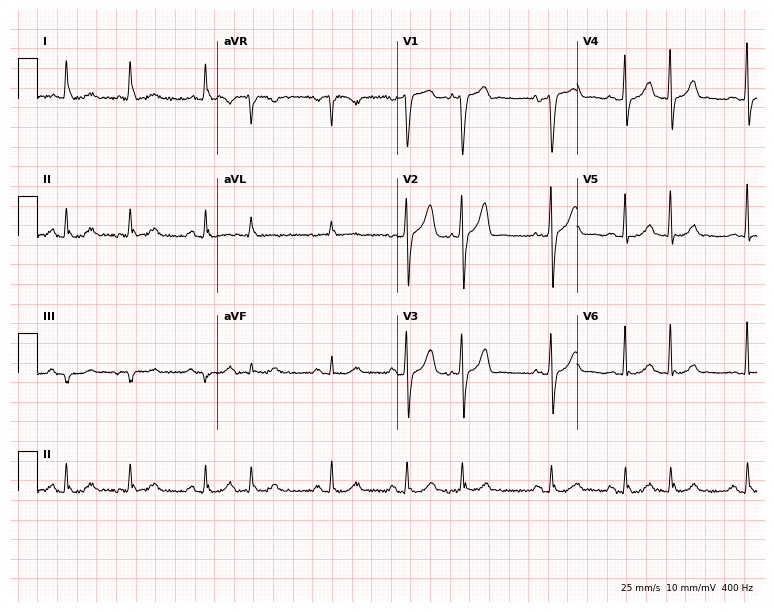
12-lead ECG from a 73-year-old man. Labelled as a normal ECG.